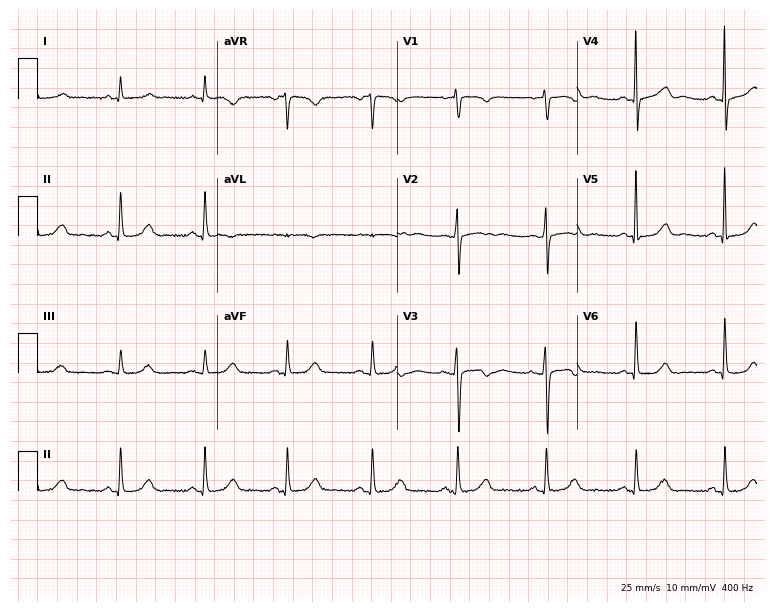
12-lead ECG (7.3-second recording at 400 Hz) from a 62-year-old female. Labelled as a normal ECG.